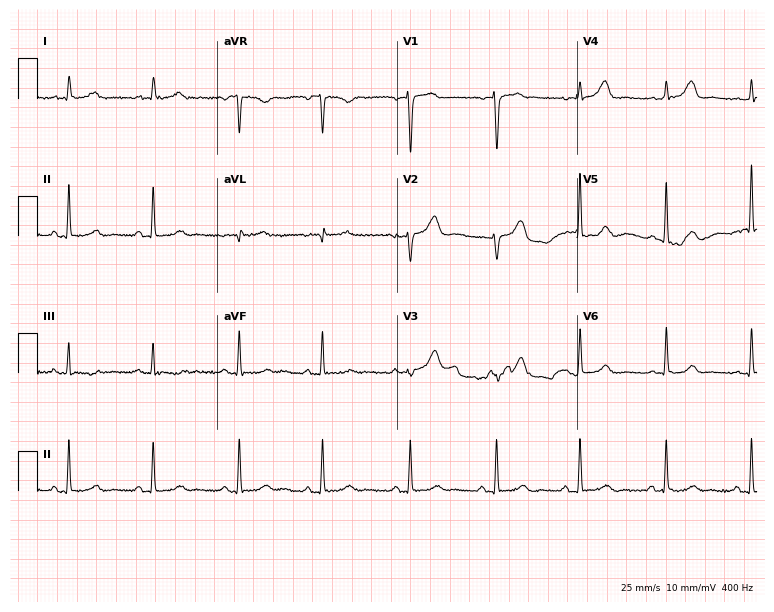
Electrocardiogram (7.3-second recording at 400 Hz), a 50-year-old female. Of the six screened findings (first-degree AV block, right bundle branch block, left bundle branch block, sinus bradycardia, atrial fibrillation, sinus tachycardia), none is recorded.